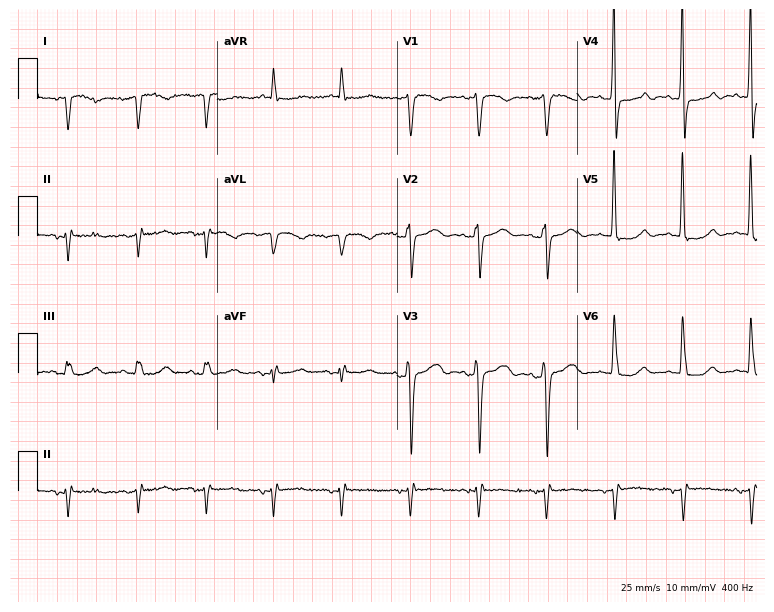
Electrocardiogram, a female, 72 years old. Of the six screened findings (first-degree AV block, right bundle branch block (RBBB), left bundle branch block (LBBB), sinus bradycardia, atrial fibrillation (AF), sinus tachycardia), none is recorded.